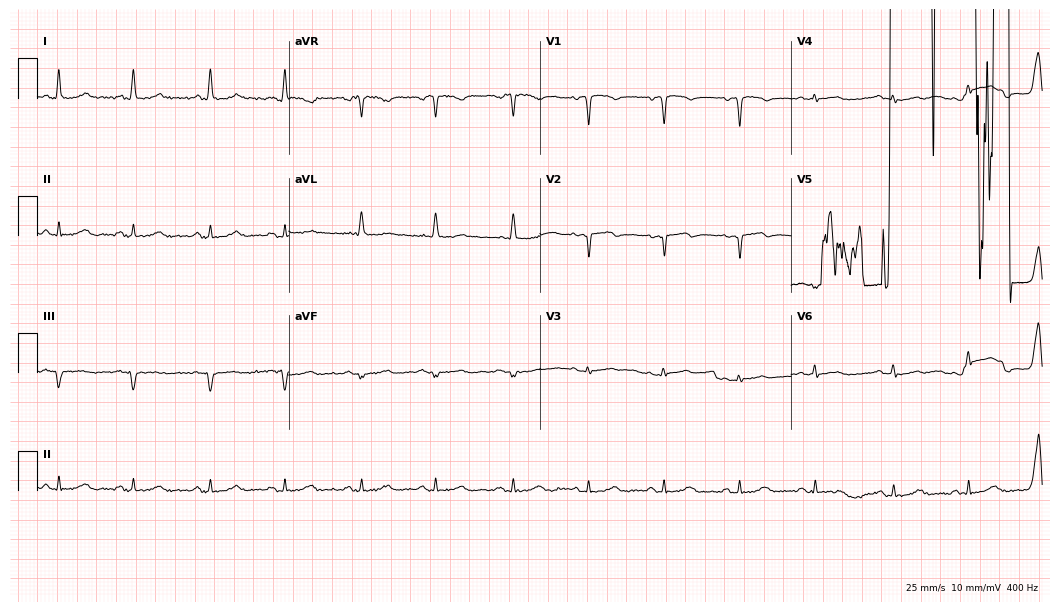
12-lead ECG from a man, 65 years old. Screened for six findings — first-degree AV block, right bundle branch block, left bundle branch block, sinus bradycardia, atrial fibrillation, sinus tachycardia — none is recorded. Findings outside these six are not listed.